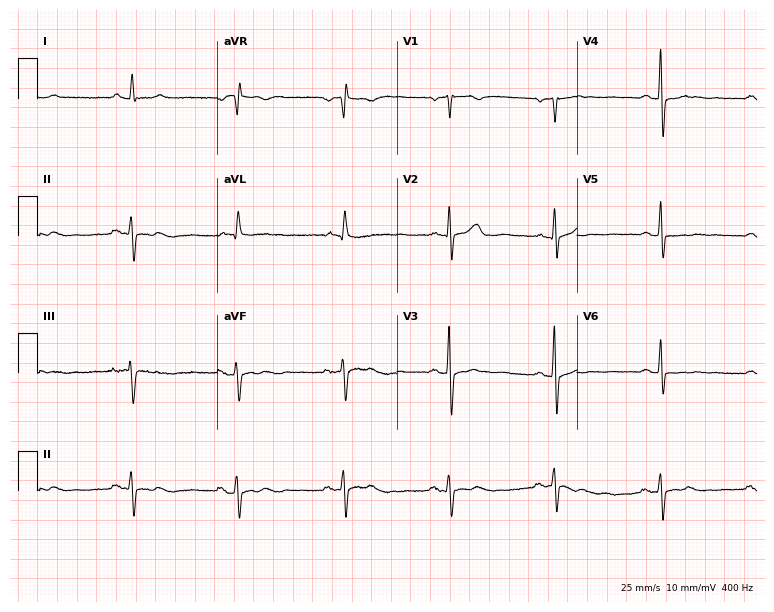
Resting 12-lead electrocardiogram. Patient: a man, 78 years old. None of these six findings is recorded: first-degree AV block, right bundle branch block, left bundle branch block, sinus bradycardia, atrial fibrillation, sinus tachycardia.